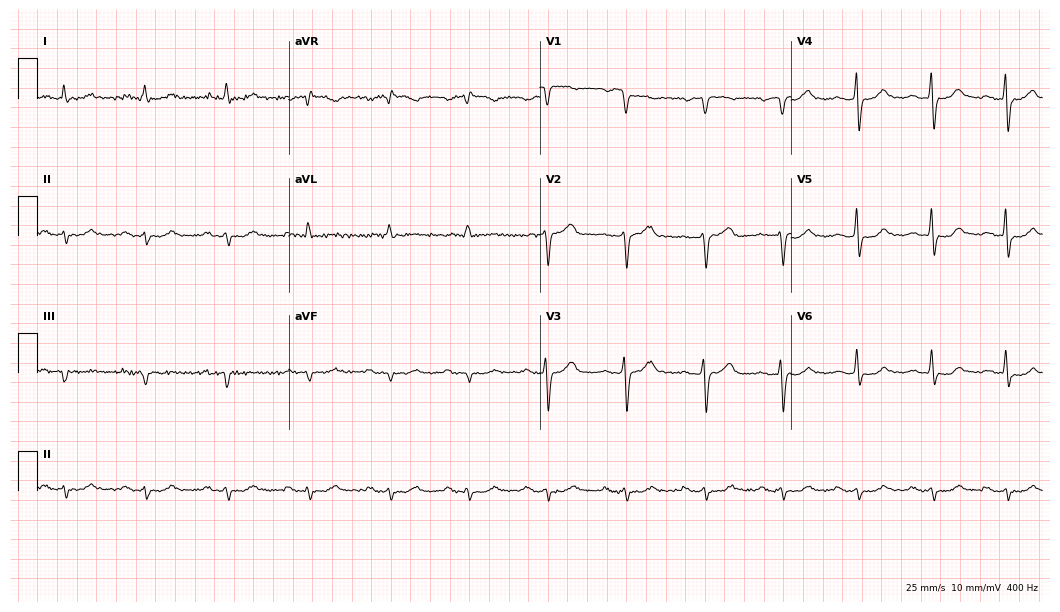
ECG (10.2-second recording at 400 Hz) — a man, 66 years old. Screened for six findings — first-degree AV block, right bundle branch block, left bundle branch block, sinus bradycardia, atrial fibrillation, sinus tachycardia — none is recorded. Only these six findings were labelled.